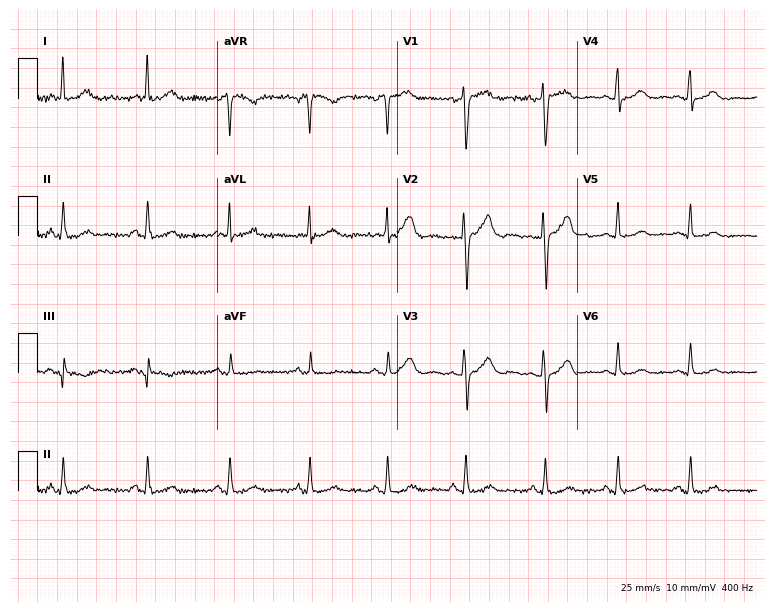
Resting 12-lead electrocardiogram. Patient: a female, 41 years old. None of these six findings is recorded: first-degree AV block, right bundle branch block (RBBB), left bundle branch block (LBBB), sinus bradycardia, atrial fibrillation (AF), sinus tachycardia.